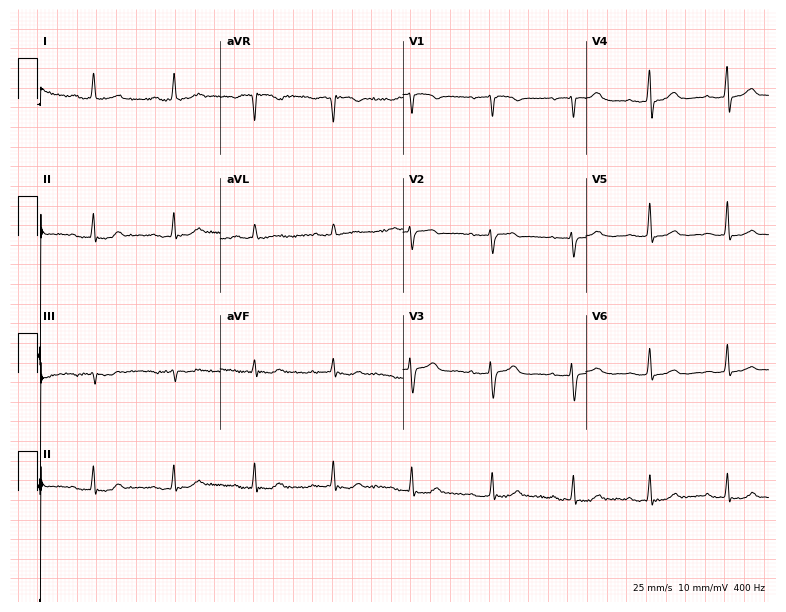
12-lead ECG from a 68-year-old female patient. Screened for six findings — first-degree AV block, right bundle branch block (RBBB), left bundle branch block (LBBB), sinus bradycardia, atrial fibrillation (AF), sinus tachycardia — none is recorded. Findings outside these six are not listed.